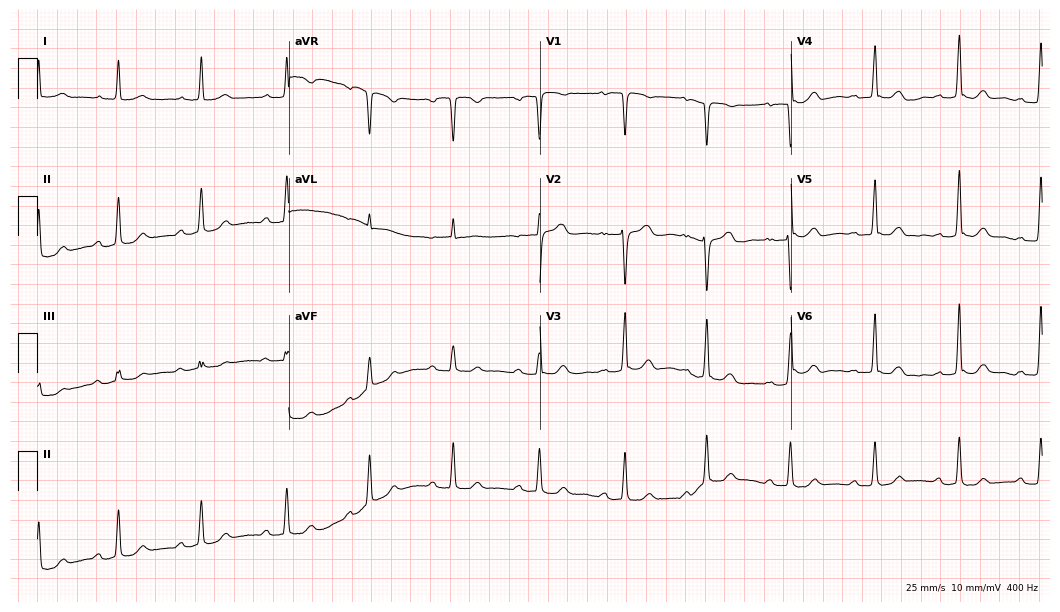
Electrocardiogram (10.2-second recording at 400 Hz), a woman, 76 years old. Interpretation includes first-degree AV block.